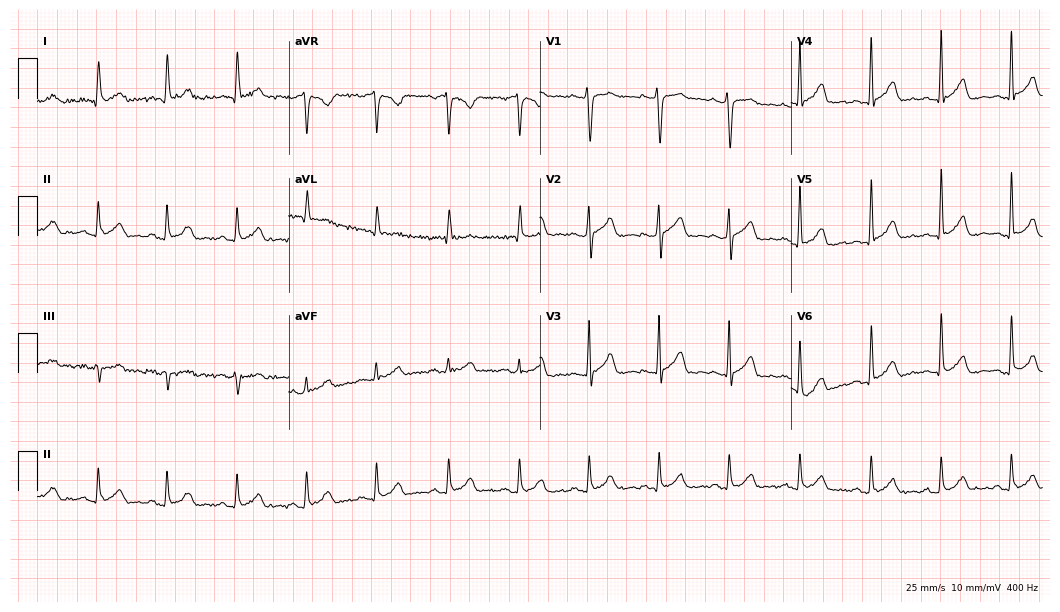
Standard 12-lead ECG recorded from a 40-year-old male (10.2-second recording at 400 Hz). None of these six findings is recorded: first-degree AV block, right bundle branch block (RBBB), left bundle branch block (LBBB), sinus bradycardia, atrial fibrillation (AF), sinus tachycardia. Other findings, if any, are not listed.